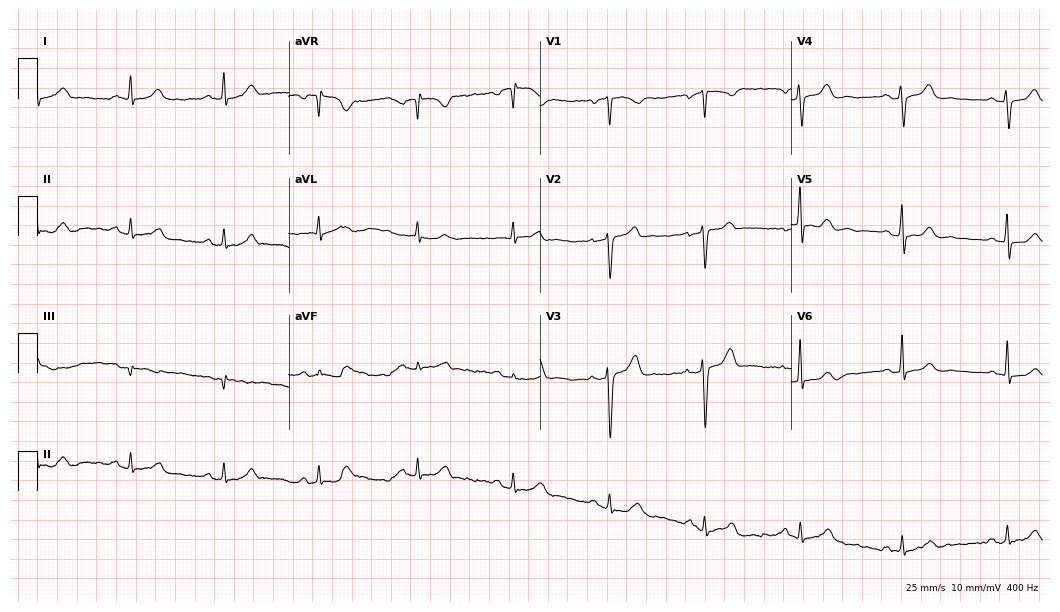
Standard 12-lead ECG recorded from a male patient, 53 years old. Read as a normal ECG.